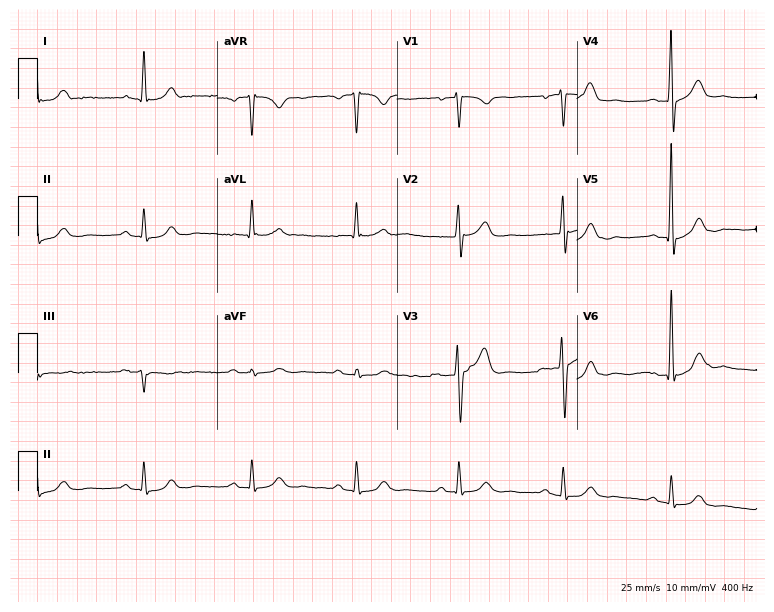
12-lead ECG from a 69-year-old male patient. No first-degree AV block, right bundle branch block (RBBB), left bundle branch block (LBBB), sinus bradycardia, atrial fibrillation (AF) or sinus tachycardia recorded for this tracing.